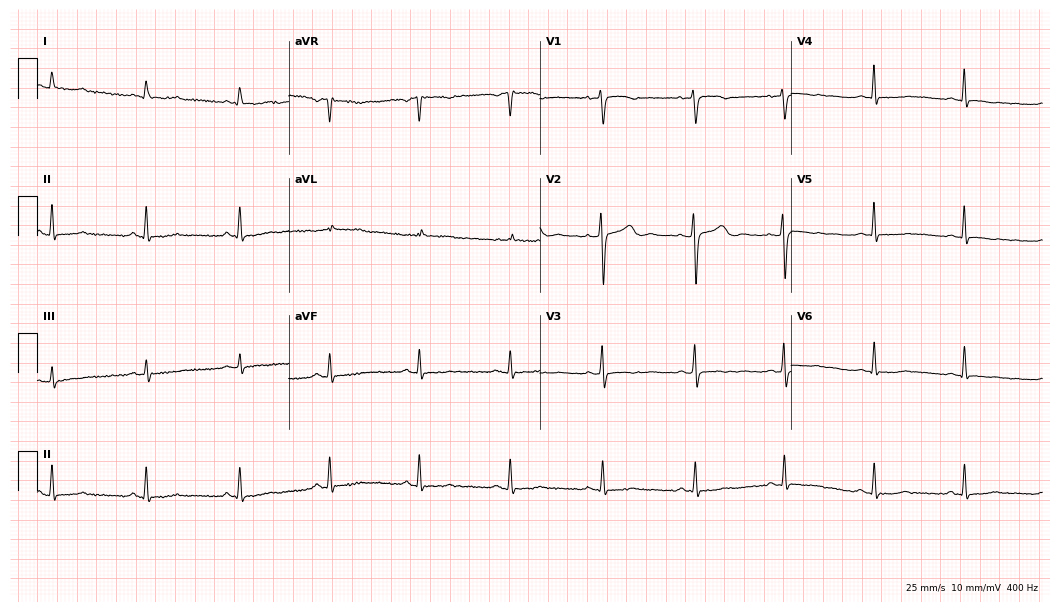
Resting 12-lead electrocardiogram. Patient: a 48-year-old woman. None of these six findings is recorded: first-degree AV block, right bundle branch block, left bundle branch block, sinus bradycardia, atrial fibrillation, sinus tachycardia.